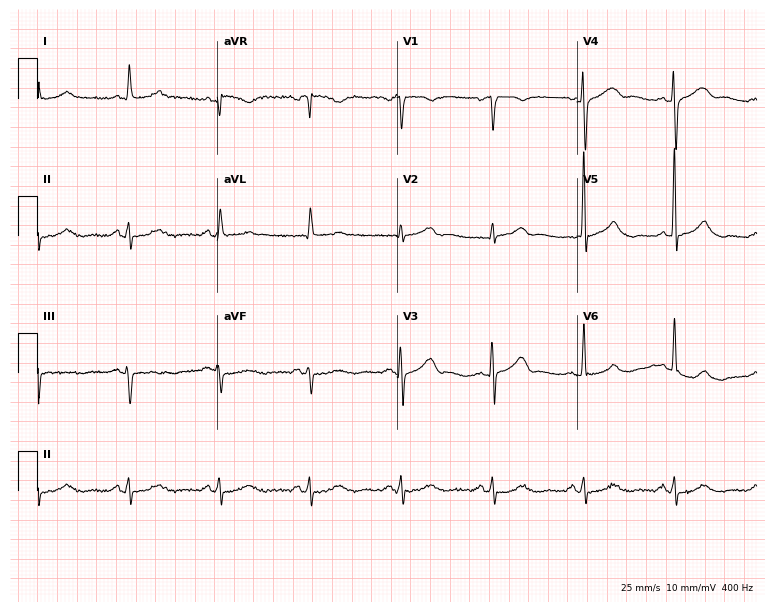
ECG — a male patient, 77 years old. Screened for six findings — first-degree AV block, right bundle branch block, left bundle branch block, sinus bradycardia, atrial fibrillation, sinus tachycardia — none is recorded.